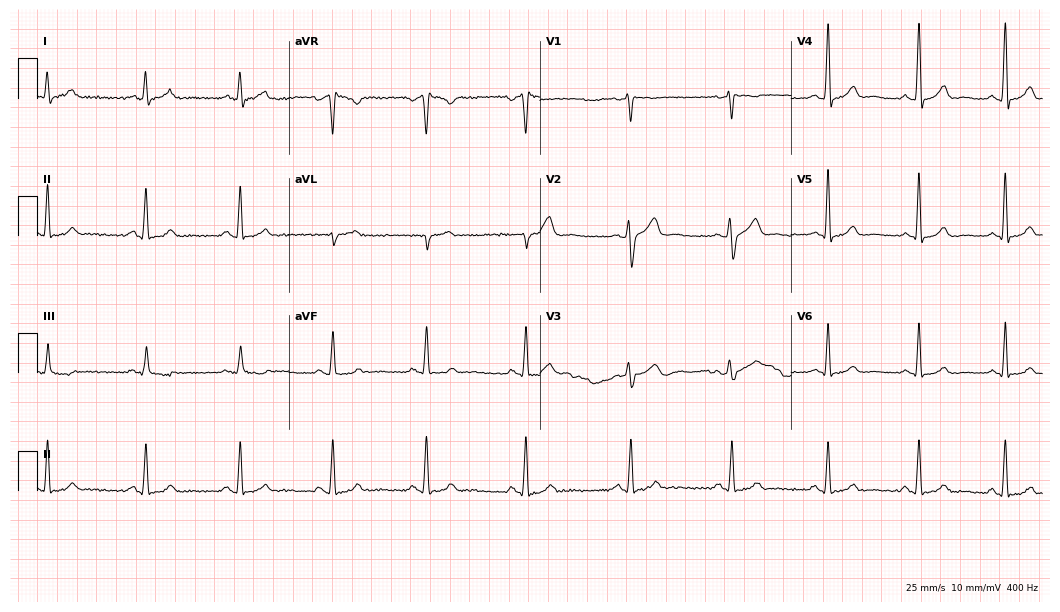
ECG — a male patient, 39 years old. Screened for six findings — first-degree AV block, right bundle branch block, left bundle branch block, sinus bradycardia, atrial fibrillation, sinus tachycardia — none is recorded.